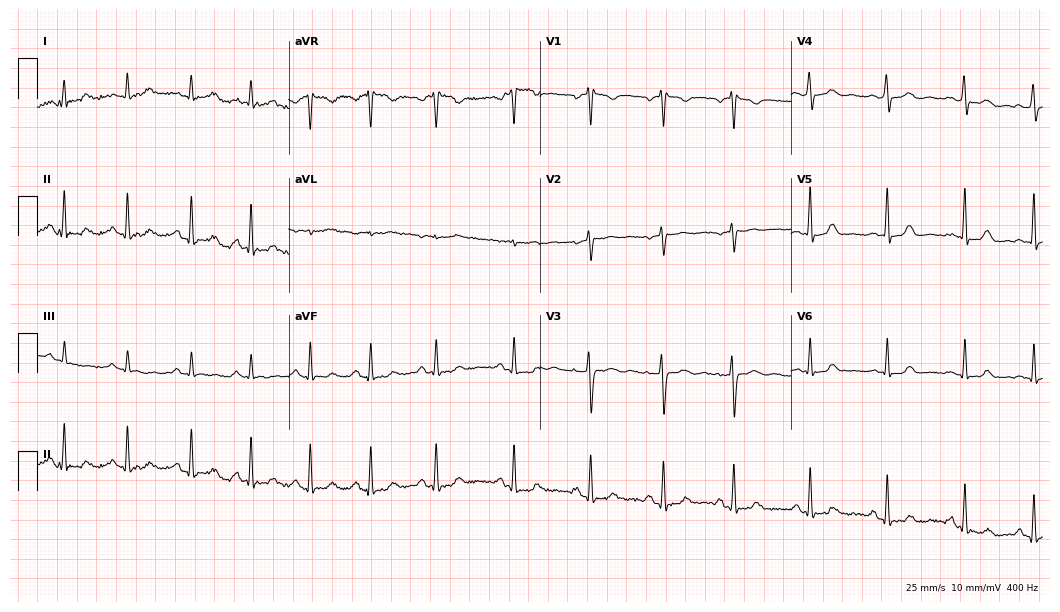
12-lead ECG from a 60-year-old female patient. Labelled as a normal ECG.